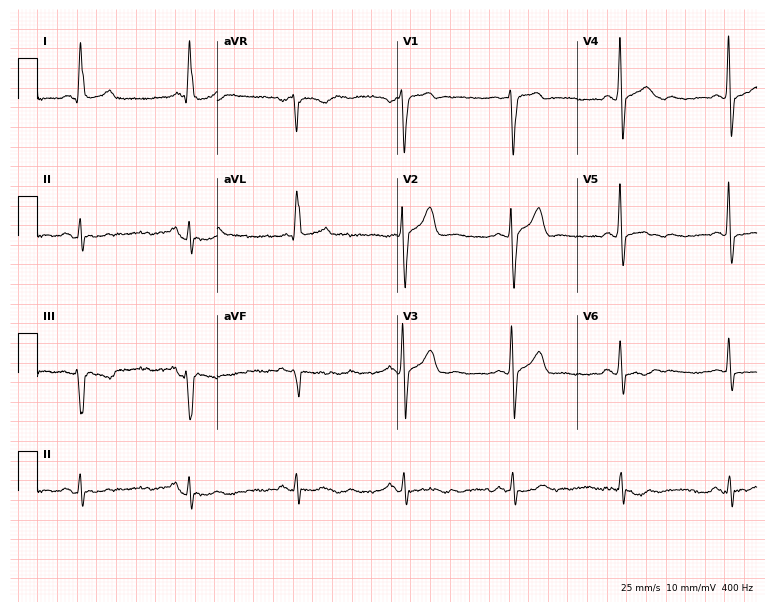
Resting 12-lead electrocardiogram (7.3-second recording at 400 Hz). Patient: a 63-year-old male. Read as a normal ECG.